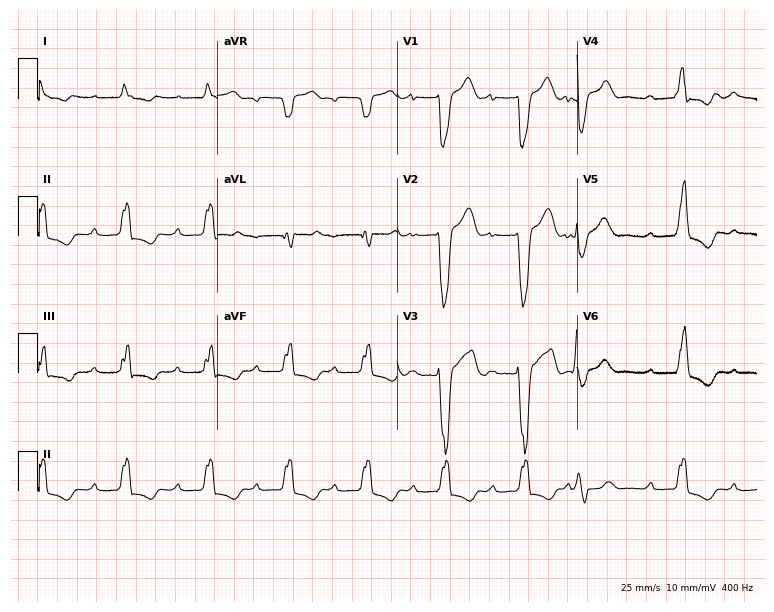
12-lead ECG from a man, 38 years old (7.3-second recording at 400 Hz). Shows first-degree AV block, left bundle branch block (LBBB).